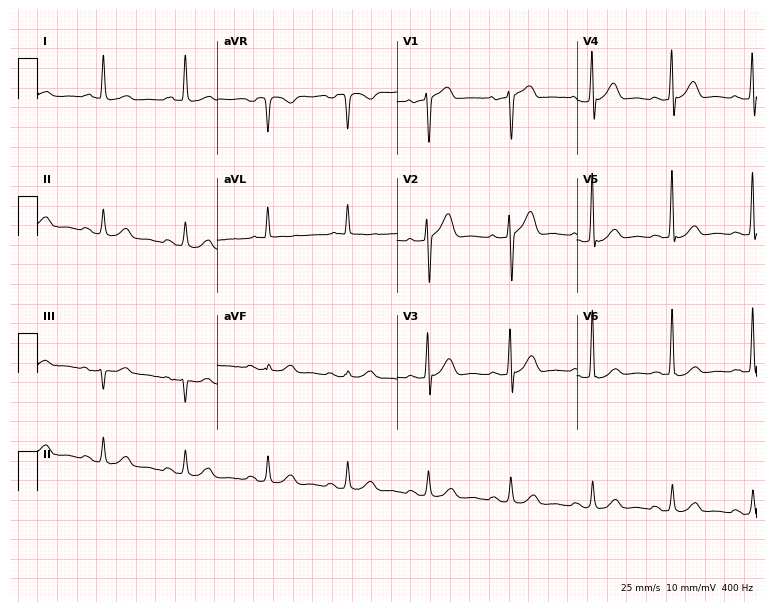
Resting 12-lead electrocardiogram (7.3-second recording at 400 Hz). Patient: a male, 61 years old. None of these six findings is recorded: first-degree AV block, right bundle branch block, left bundle branch block, sinus bradycardia, atrial fibrillation, sinus tachycardia. Findings outside these six are not listed.